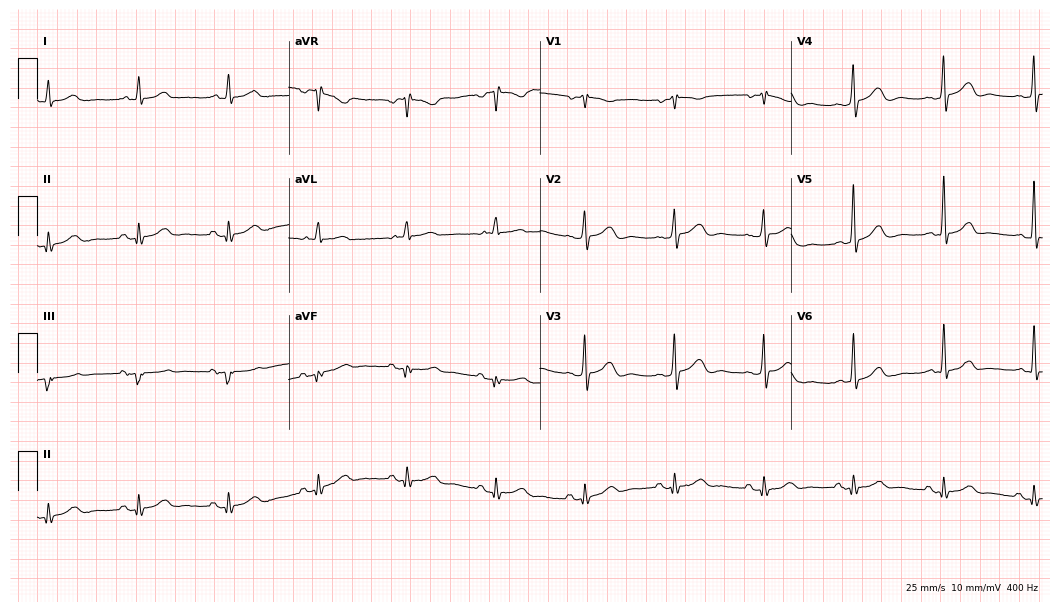
Standard 12-lead ECG recorded from a man, 40 years old. Read as a normal ECG.